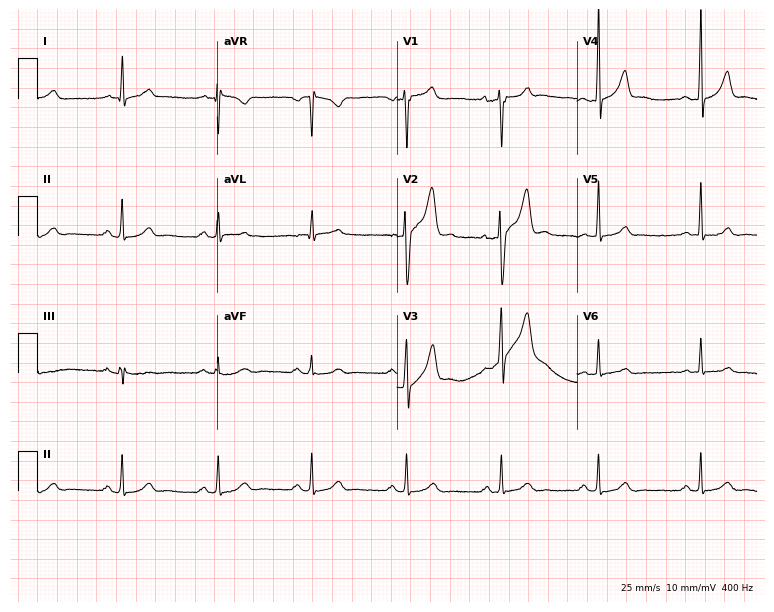
12-lead ECG from a 56-year-old female patient. No first-degree AV block, right bundle branch block, left bundle branch block, sinus bradycardia, atrial fibrillation or sinus tachycardia recorded for this tracing. Findings outside these six are not listed.